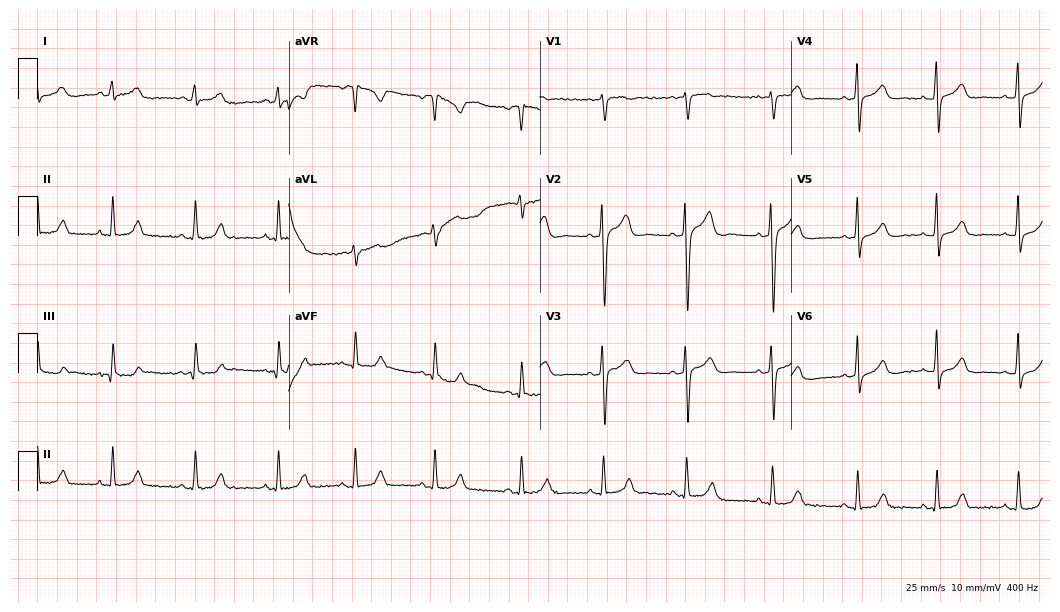
Electrocardiogram, a 32-year-old female. Overall reading on record: normal ECG.